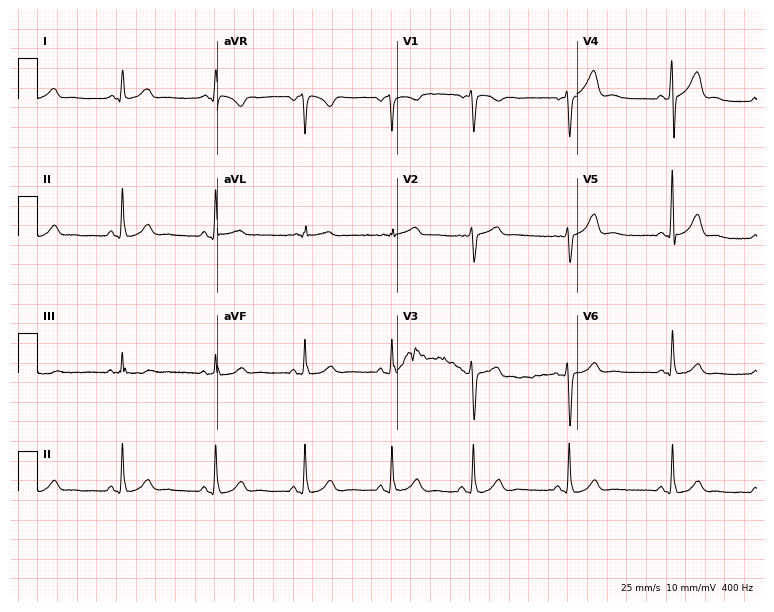
12-lead ECG from a 39-year-old male. Recorded interpretation: within normal limits.